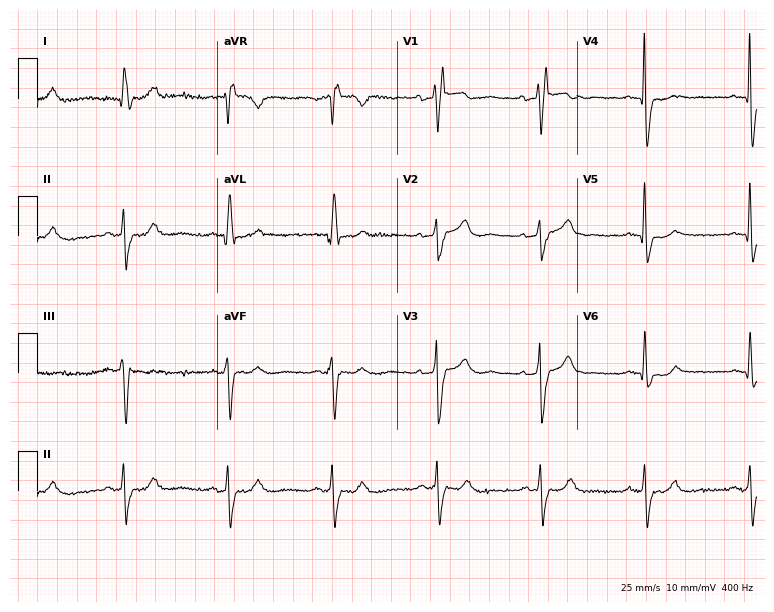
Resting 12-lead electrocardiogram (7.3-second recording at 400 Hz). Patient: a female, 74 years old. The tracing shows right bundle branch block.